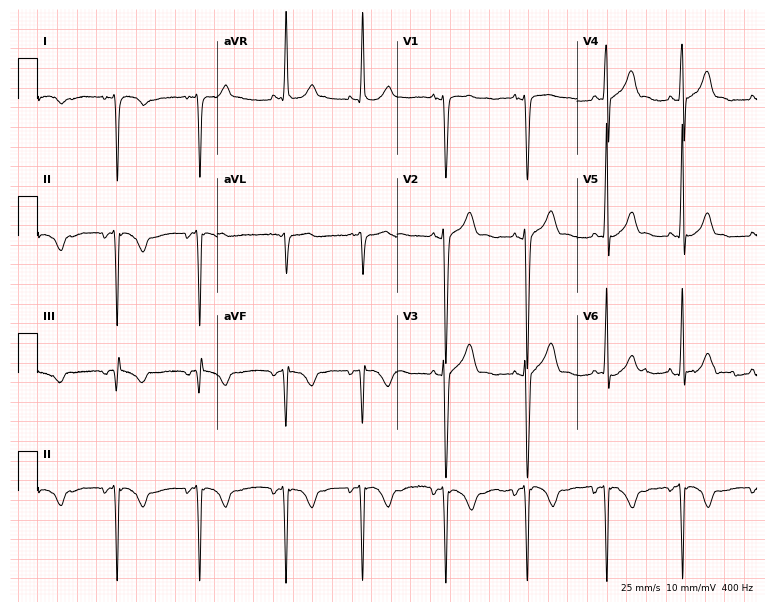
Standard 12-lead ECG recorded from a male patient, 21 years old (7.3-second recording at 400 Hz). None of these six findings is recorded: first-degree AV block, right bundle branch block, left bundle branch block, sinus bradycardia, atrial fibrillation, sinus tachycardia.